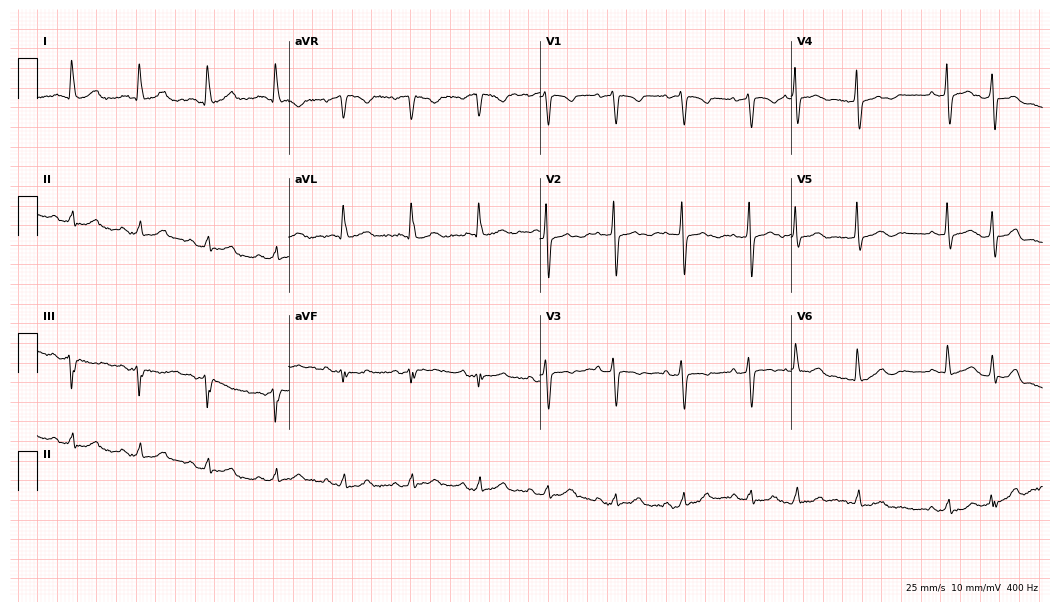
Standard 12-lead ECG recorded from a female, 79 years old (10.2-second recording at 400 Hz). Read as a normal ECG.